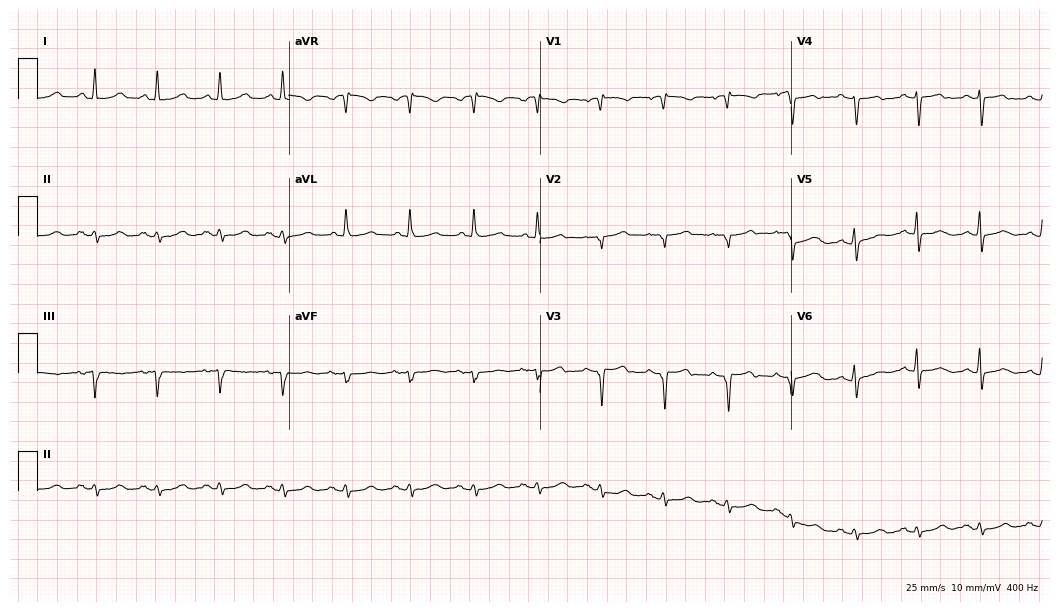
Resting 12-lead electrocardiogram. Patient: a woman, 71 years old. Read as a normal ECG.